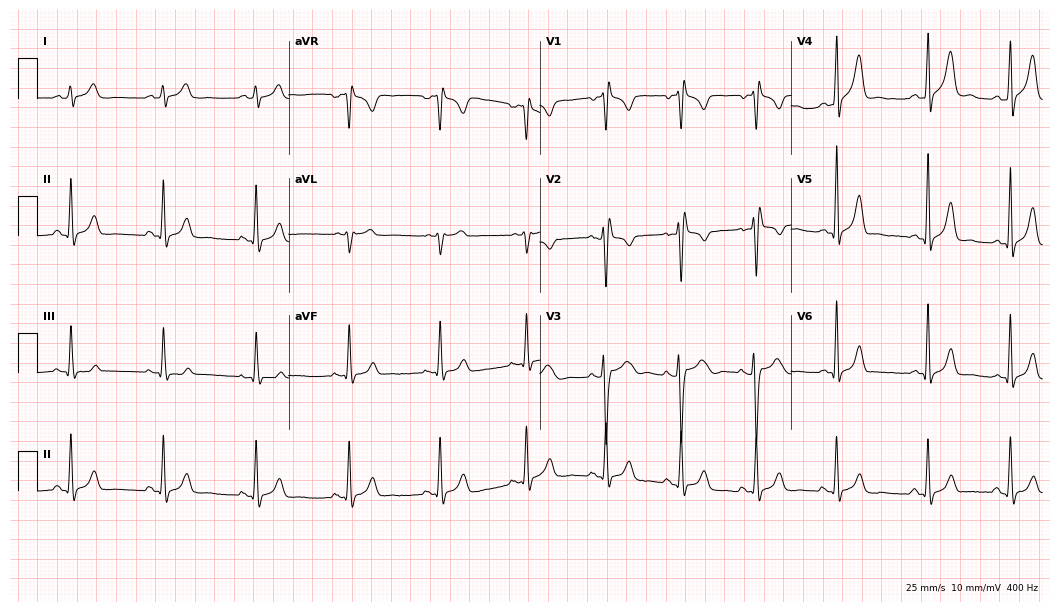
Resting 12-lead electrocardiogram. Patient: a man, 25 years old. None of these six findings is recorded: first-degree AV block, right bundle branch block, left bundle branch block, sinus bradycardia, atrial fibrillation, sinus tachycardia.